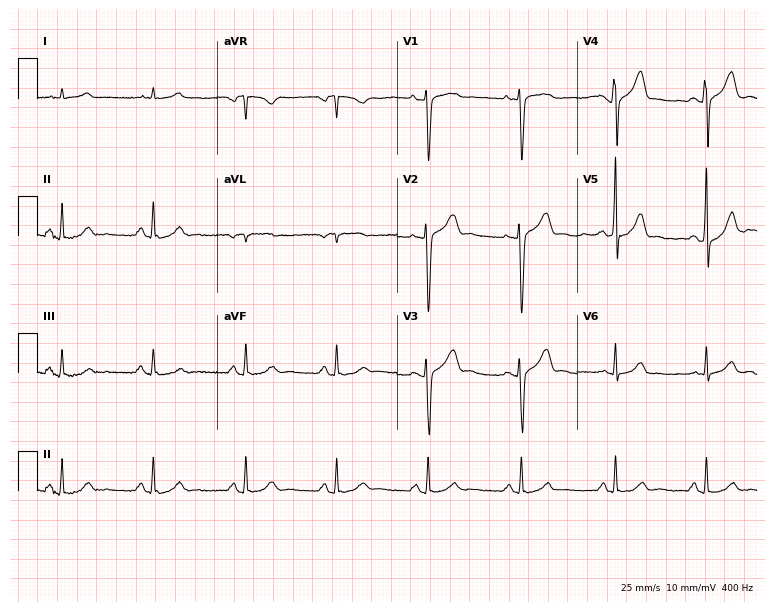
ECG — a 43-year-old male. Labelled as a normal ECG.